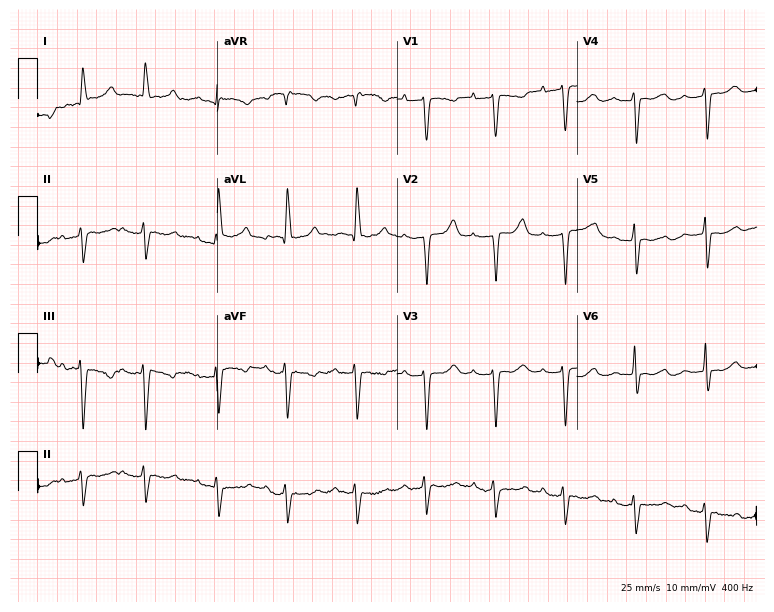
Resting 12-lead electrocardiogram. Patient: an 81-year-old female. None of these six findings is recorded: first-degree AV block, right bundle branch block (RBBB), left bundle branch block (LBBB), sinus bradycardia, atrial fibrillation (AF), sinus tachycardia. Other findings, if any, are not listed.